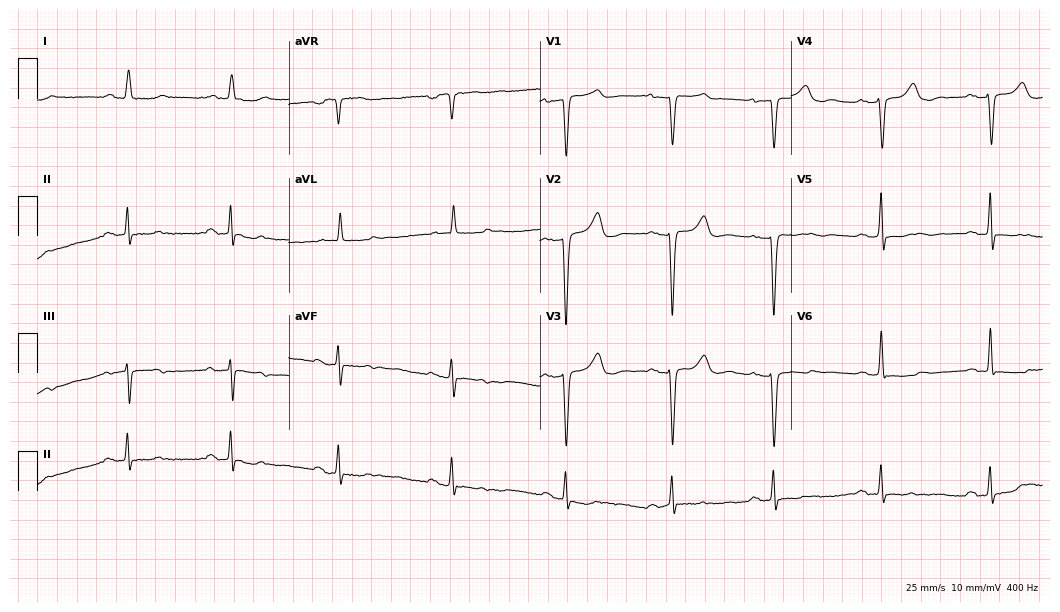
Electrocardiogram (10.2-second recording at 400 Hz), a female, 66 years old. Of the six screened findings (first-degree AV block, right bundle branch block, left bundle branch block, sinus bradycardia, atrial fibrillation, sinus tachycardia), none is recorded.